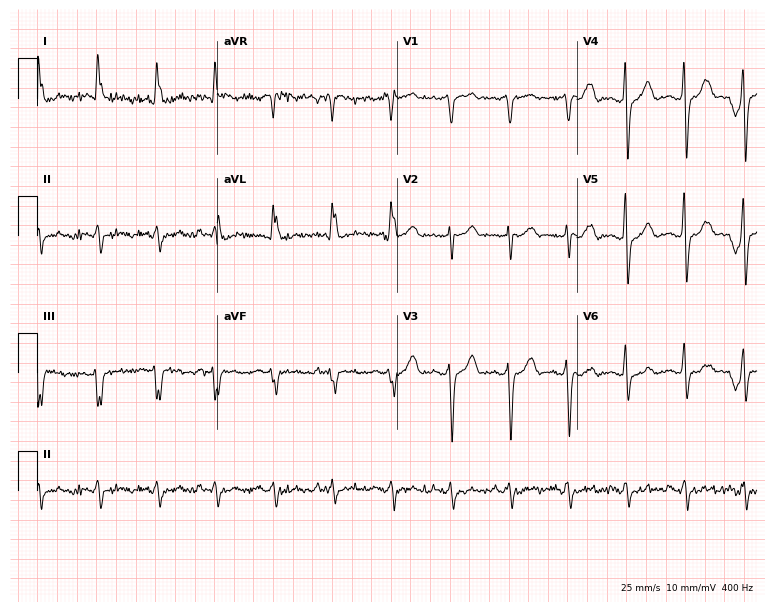
Standard 12-lead ECG recorded from a female, 60 years old (7.3-second recording at 400 Hz). None of these six findings is recorded: first-degree AV block, right bundle branch block (RBBB), left bundle branch block (LBBB), sinus bradycardia, atrial fibrillation (AF), sinus tachycardia.